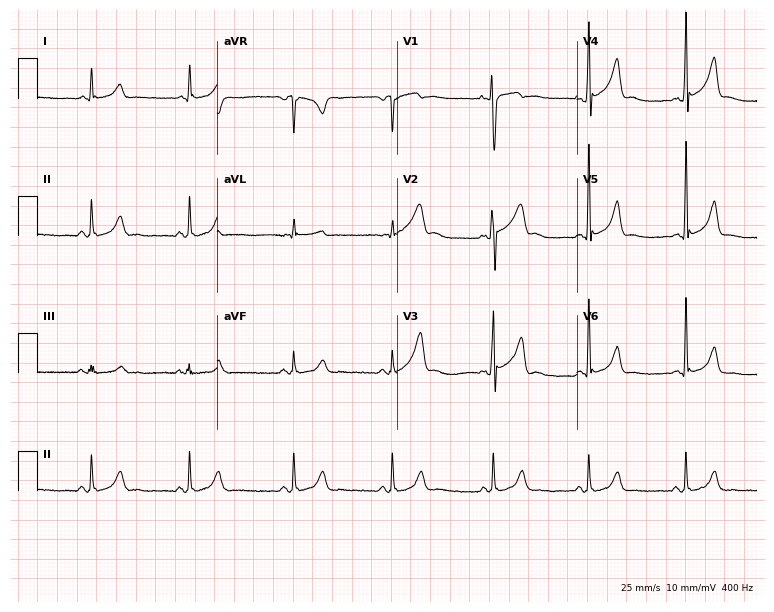
Standard 12-lead ECG recorded from a 25-year-old male. None of these six findings is recorded: first-degree AV block, right bundle branch block, left bundle branch block, sinus bradycardia, atrial fibrillation, sinus tachycardia.